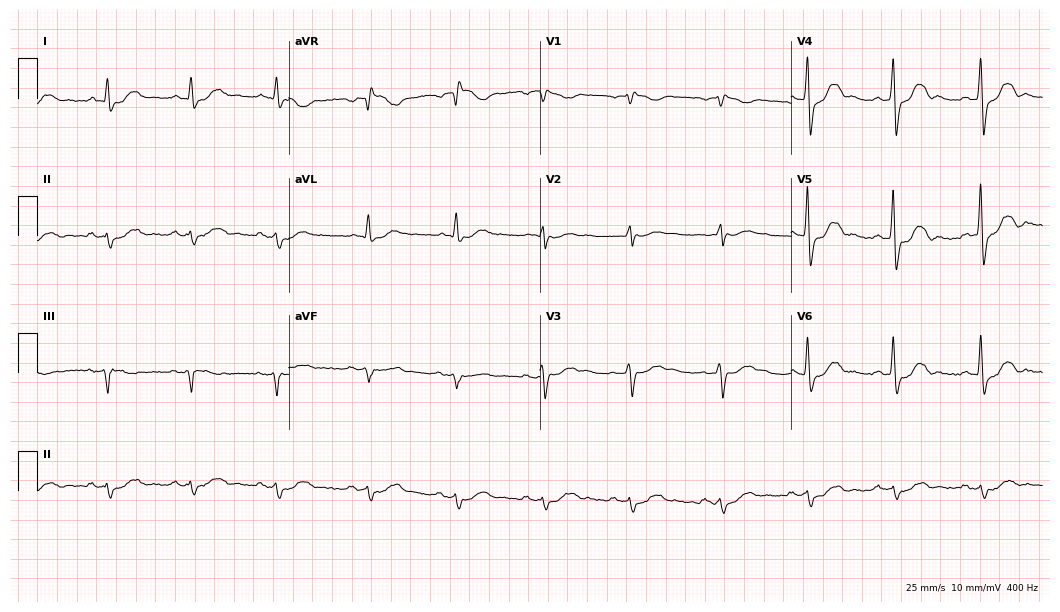
Electrocardiogram, a 56-year-old man. Of the six screened findings (first-degree AV block, right bundle branch block, left bundle branch block, sinus bradycardia, atrial fibrillation, sinus tachycardia), none is recorded.